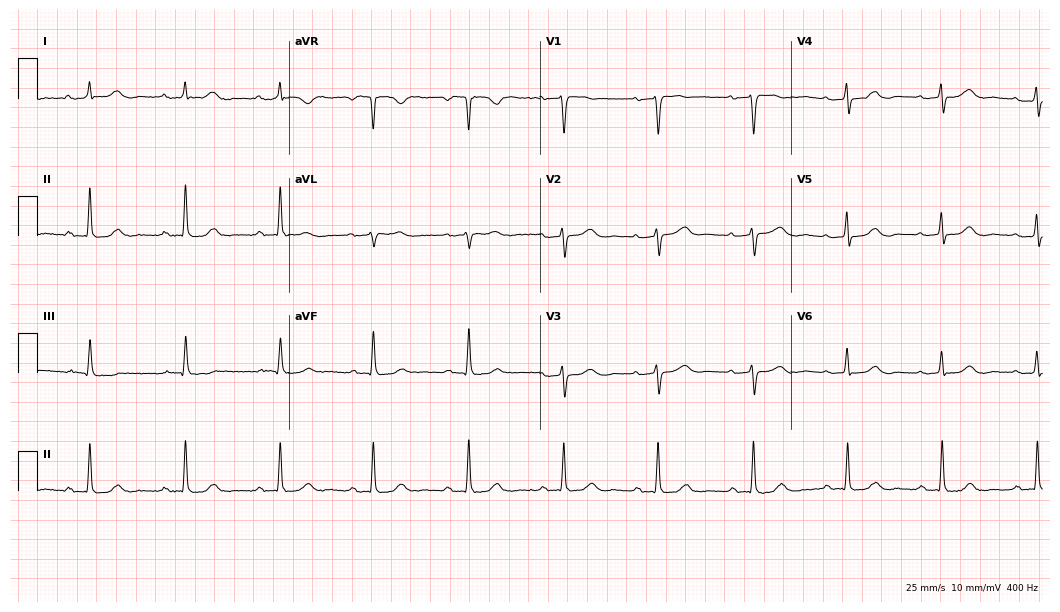
ECG (10.2-second recording at 400 Hz) — a 70-year-old female. Labelled as a normal ECG.